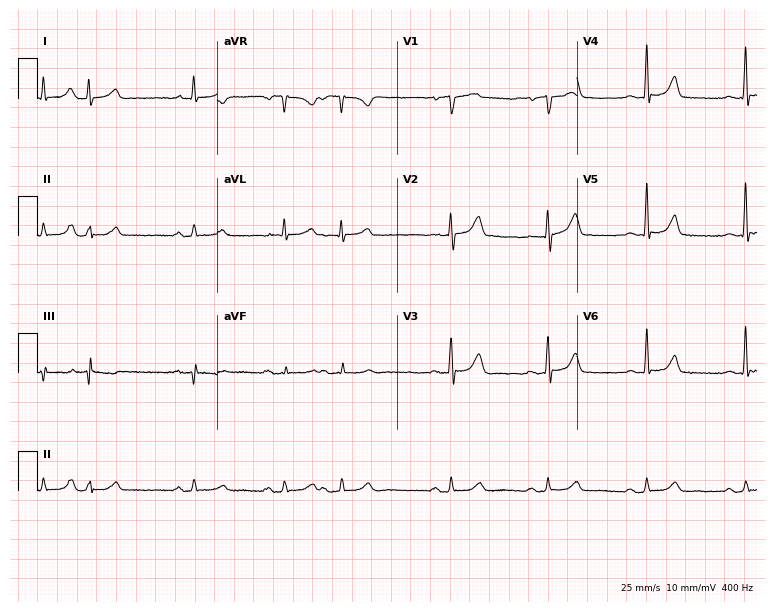
ECG (7.3-second recording at 400 Hz) — a man, 69 years old. Screened for six findings — first-degree AV block, right bundle branch block, left bundle branch block, sinus bradycardia, atrial fibrillation, sinus tachycardia — none is recorded. Findings outside these six are not listed.